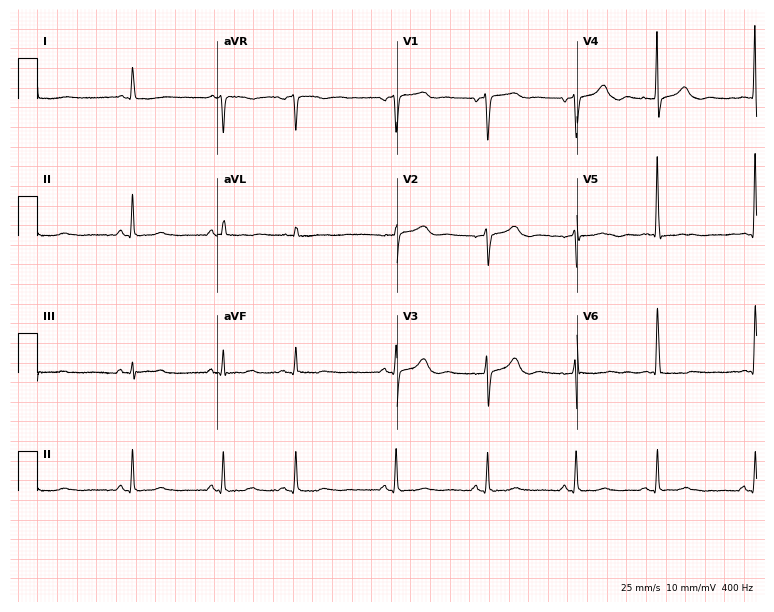
Electrocardiogram (7.3-second recording at 400 Hz), an 81-year-old woman. Of the six screened findings (first-degree AV block, right bundle branch block (RBBB), left bundle branch block (LBBB), sinus bradycardia, atrial fibrillation (AF), sinus tachycardia), none is recorded.